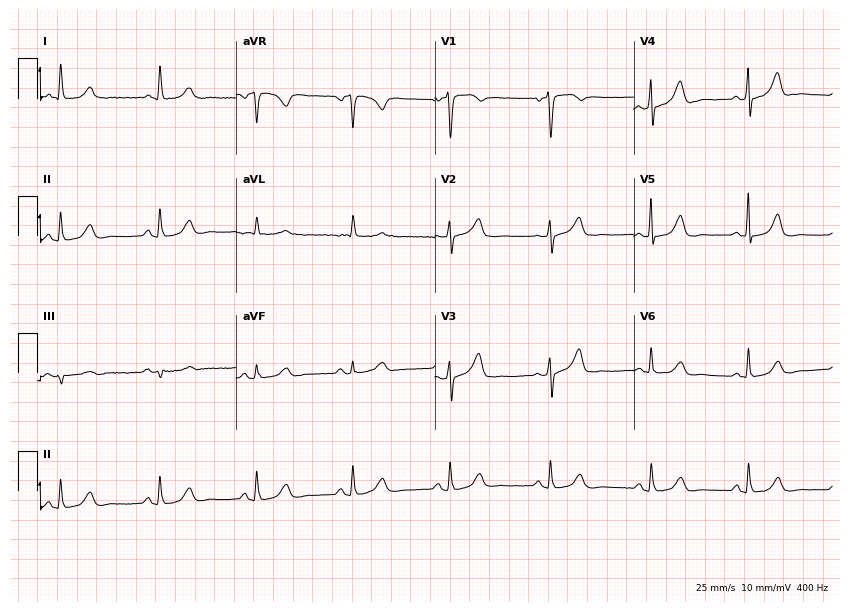
ECG — a female patient, 72 years old. Labelled as a normal ECG.